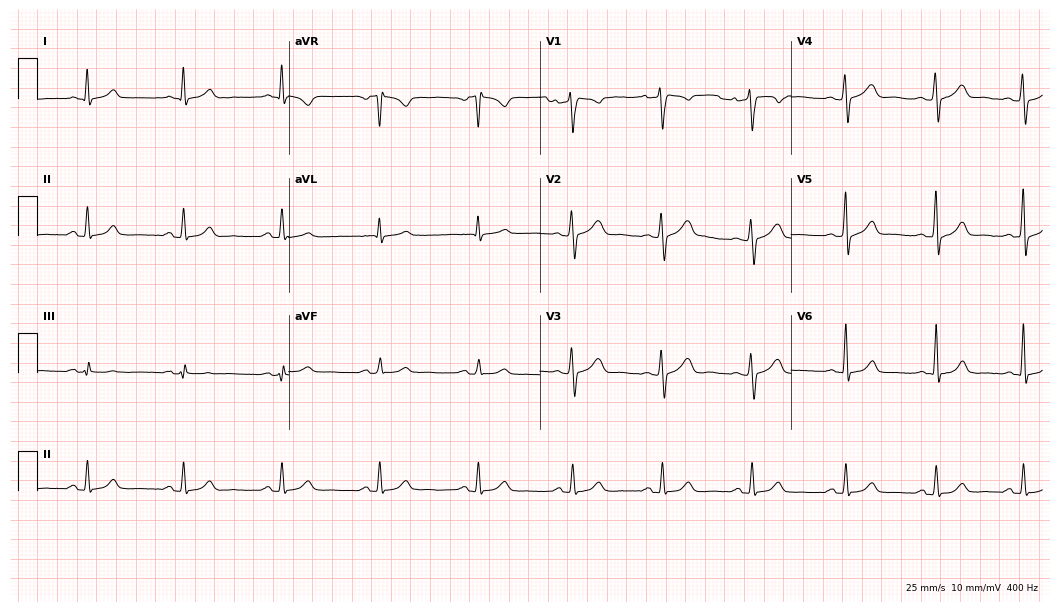
12-lead ECG (10.2-second recording at 400 Hz) from a 41-year-old female. Labelled as a normal ECG.